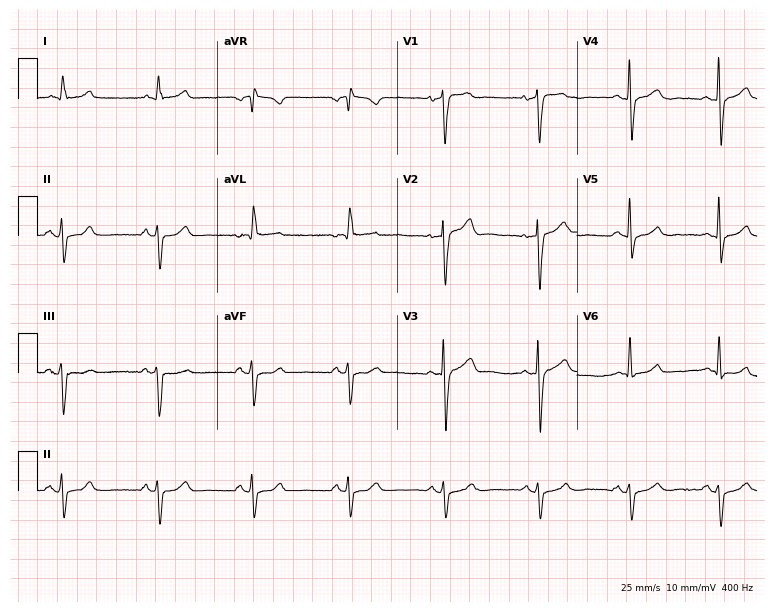
Standard 12-lead ECG recorded from a man, 60 years old. None of these six findings is recorded: first-degree AV block, right bundle branch block (RBBB), left bundle branch block (LBBB), sinus bradycardia, atrial fibrillation (AF), sinus tachycardia.